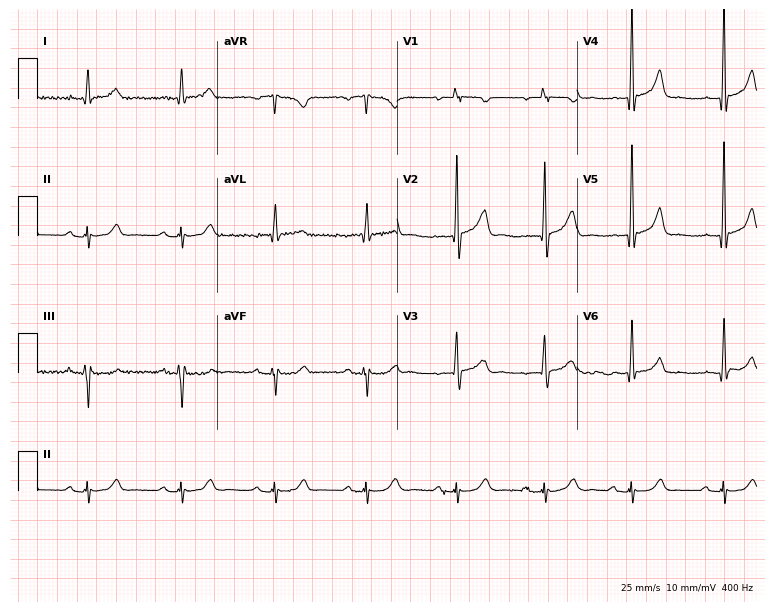
Electrocardiogram, a 47-year-old male. Of the six screened findings (first-degree AV block, right bundle branch block, left bundle branch block, sinus bradycardia, atrial fibrillation, sinus tachycardia), none is recorded.